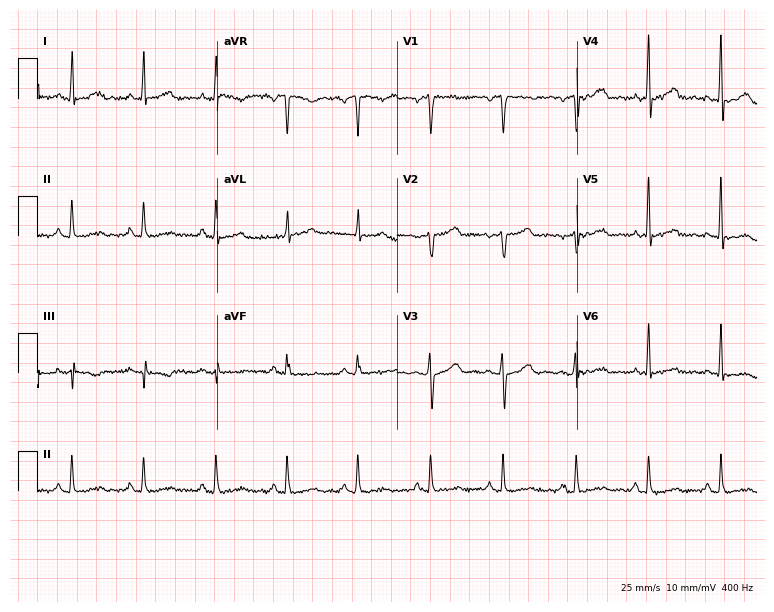
Electrocardiogram, a woman, 43 years old. Overall reading on record: normal ECG.